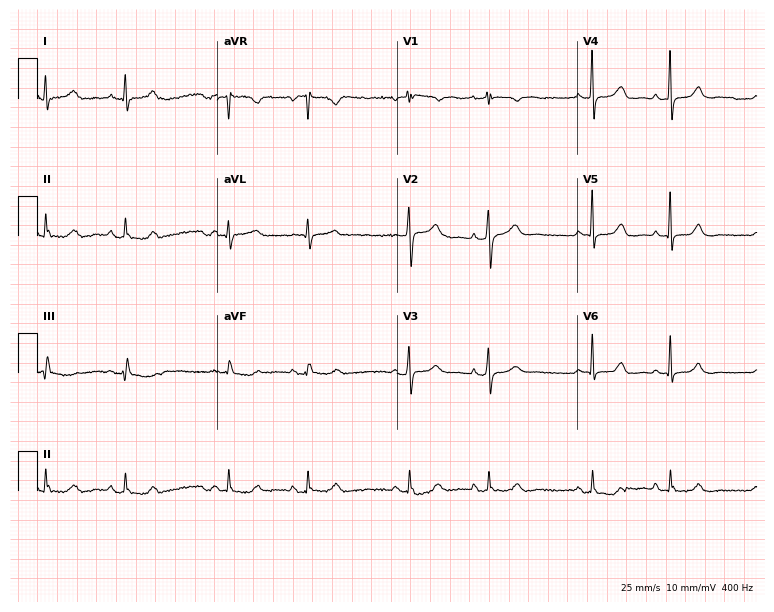
12-lead ECG (7.3-second recording at 400 Hz) from a woman, 56 years old. Screened for six findings — first-degree AV block, right bundle branch block, left bundle branch block, sinus bradycardia, atrial fibrillation, sinus tachycardia — none is recorded.